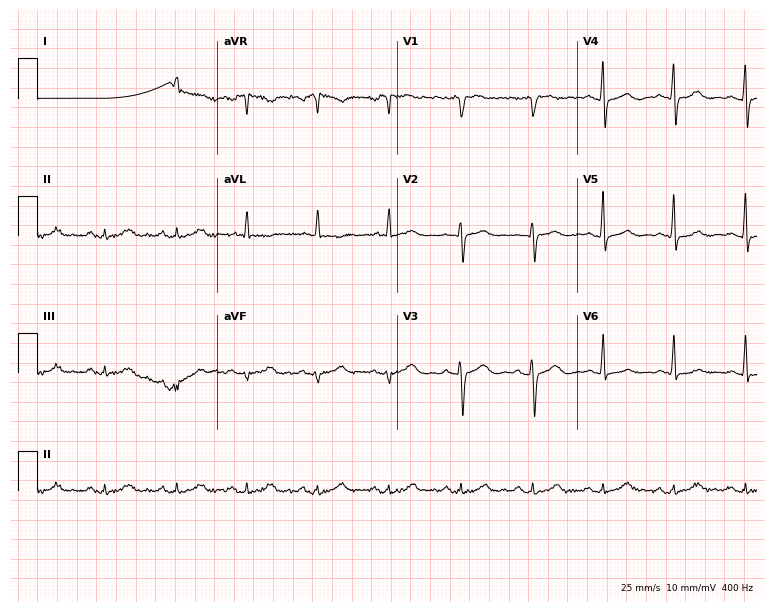
12-lead ECG (7.3-second recording at 400 Hz) from a male, 76 years old. Screened for six findings — first-degree AV block, right bundle branch block (RBBB), left bundle branch block (LBBB), sinus bradycardia, atrial fibrillation (AF), sinus tachycardia — none is recorded. Other findings, if any, are not listed.